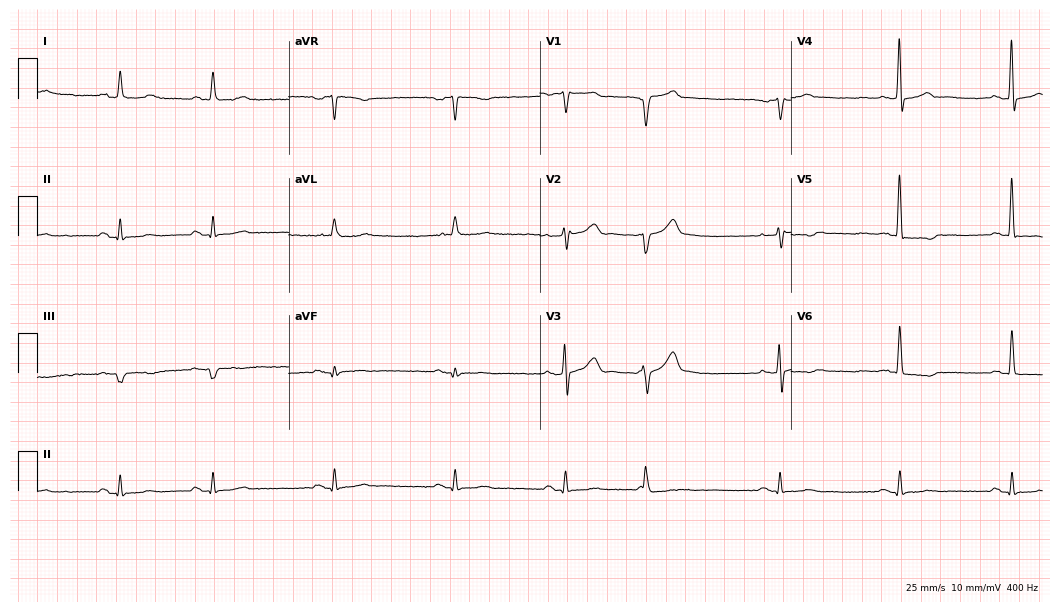
Electrocardiogram, a male patient, 82 years old. Of the six screened findings (first-degree AV block, right bundle branch block, left bundle branch block, sinus bradycardia, atrial fibrillation, sinus tachycardia), none is recorded.